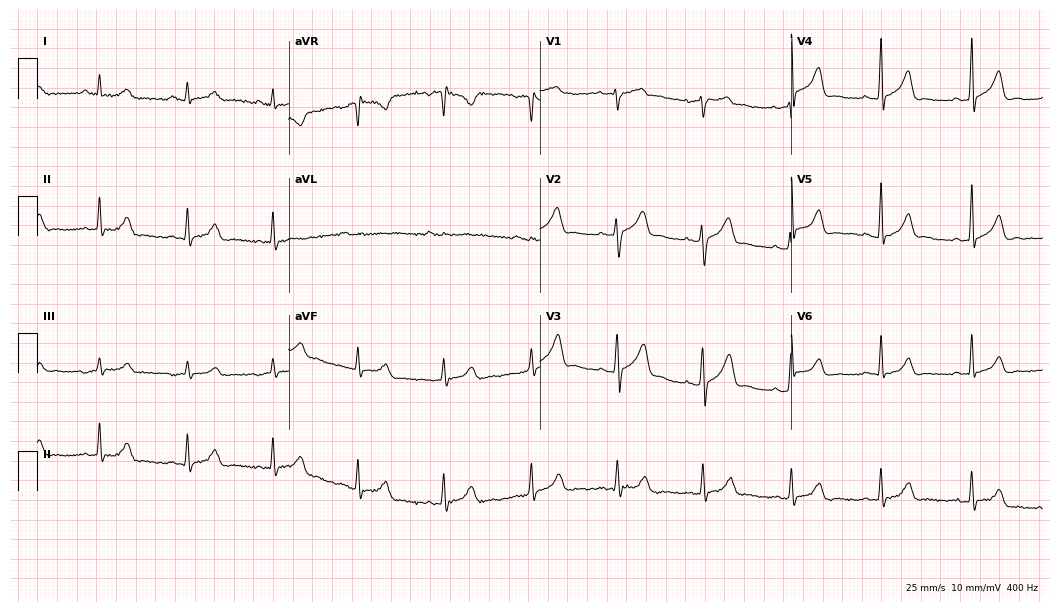
12-lead ECG (10.2-second recording at 400 Hz) from a male patient, 45 years old. Labelled as a normal ECG.